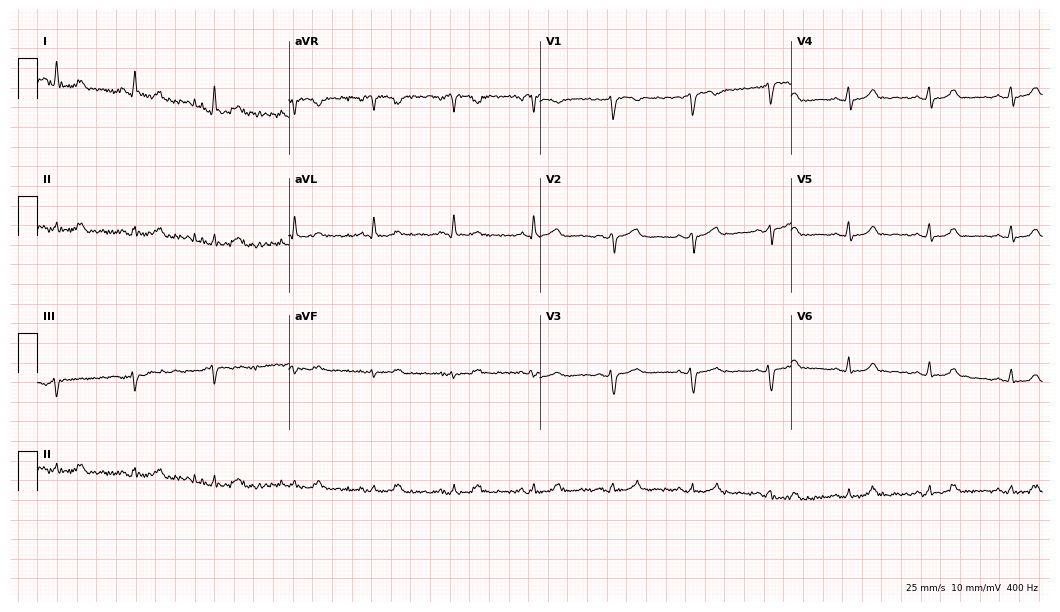
Resting 12-lead electrocardiogram (10.2-second recording at 400 Hz). Patient: a woman, 50 years old. Read as a normal ECG.